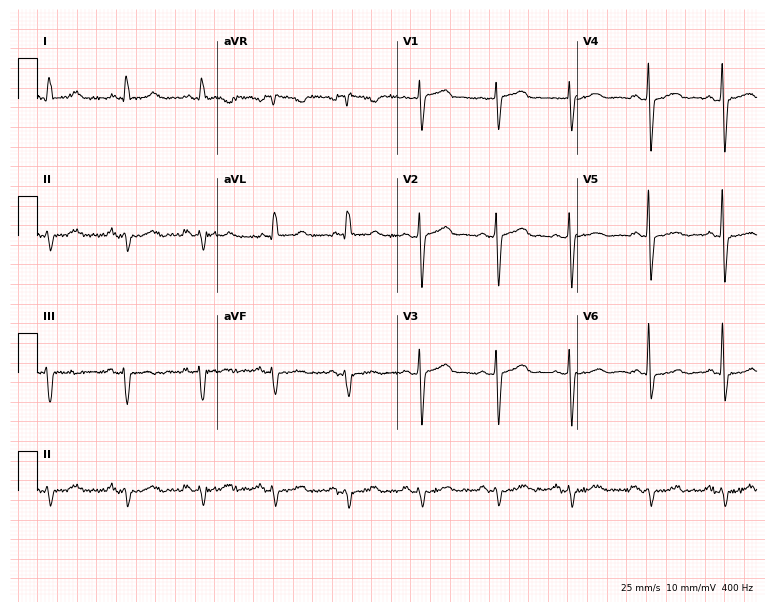
ECG (7.3-second recording at 400 Hz) — a male, 85 years old. Screened for six findings — first-degree AV block, right bundle branch block, left bundle branch block, sinus bradycardia, atrial fibrillation, sinus tachycardia — none is recorded.